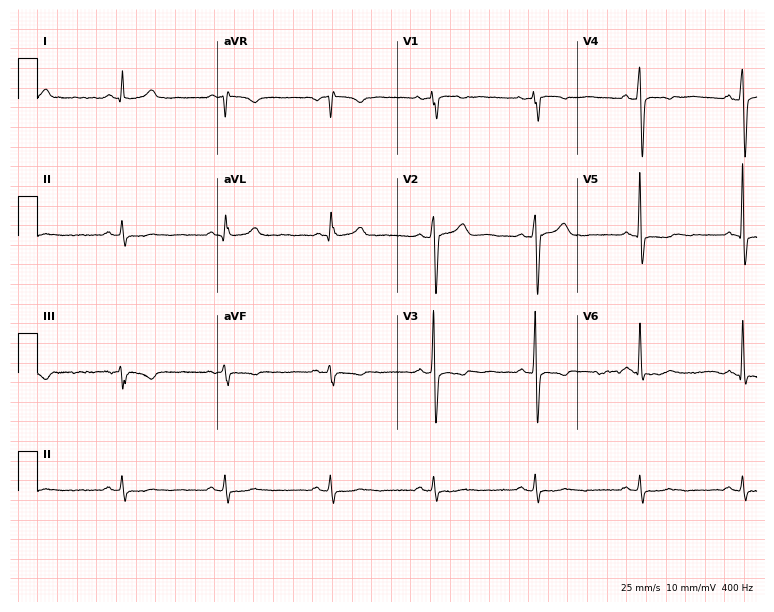
ECG — a 58-year-old man. Screened for six findings — first-degree AV block, right bundle branch block (RBBB), left bundle branch block (LBBB), sinus bradycardia, atrial fibrillation (AF), sinus tachycardia — none is recorded. Other findings, if any, are not listed.